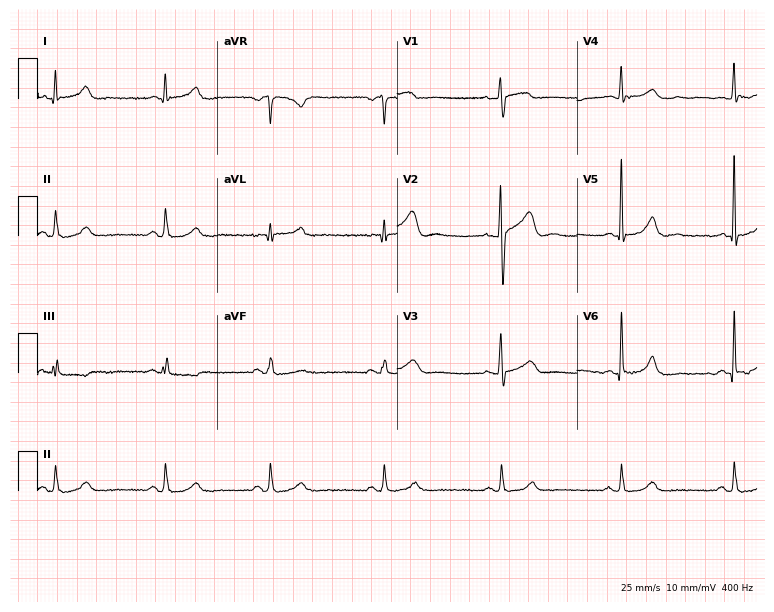
Electrocardiogram, a male patient, 44 years old. Overall reading on record: normal ECG.